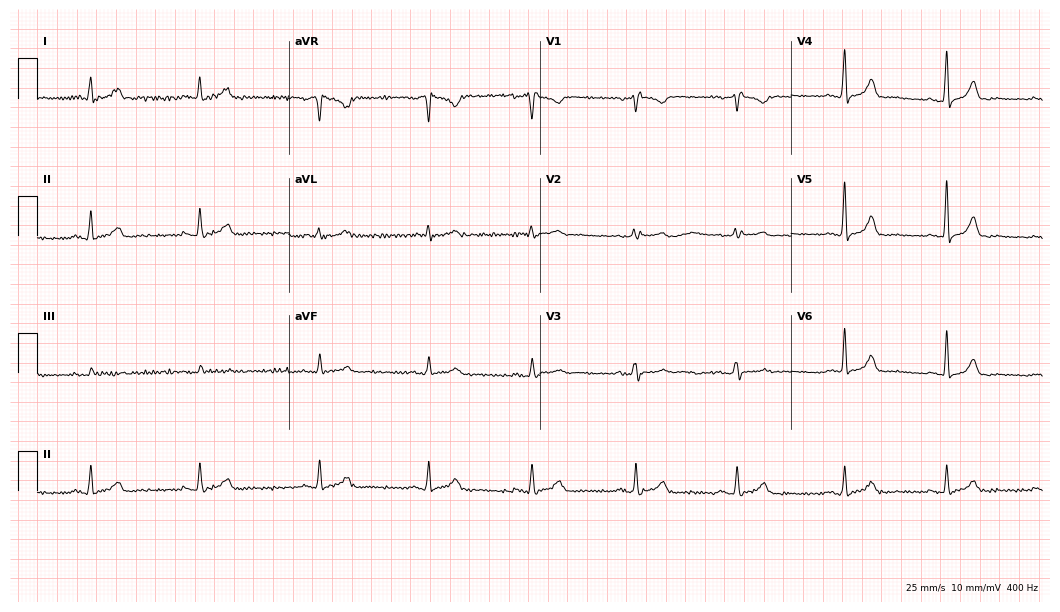
ECG — a 56-year-old woman. Screened for six findings — first-degree AV block, right bundle branch block, left bundle branch block, sinus bradycardia, atrial fibrillation, sinus tachycardia — none is recorded. Other findings, if any, are not listed.